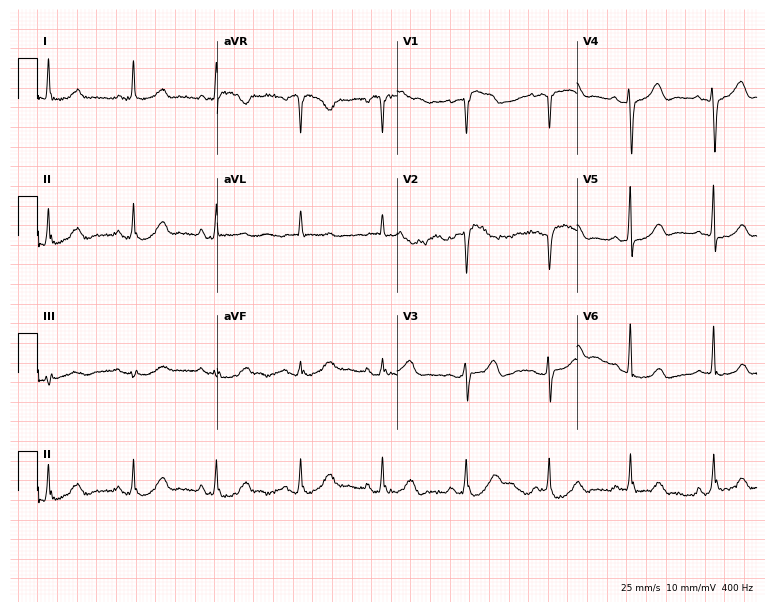
12-lead ECG (7.3-second recording at 400 Hz) from a 50-year-old female patient. Labelled as a normal ECG.